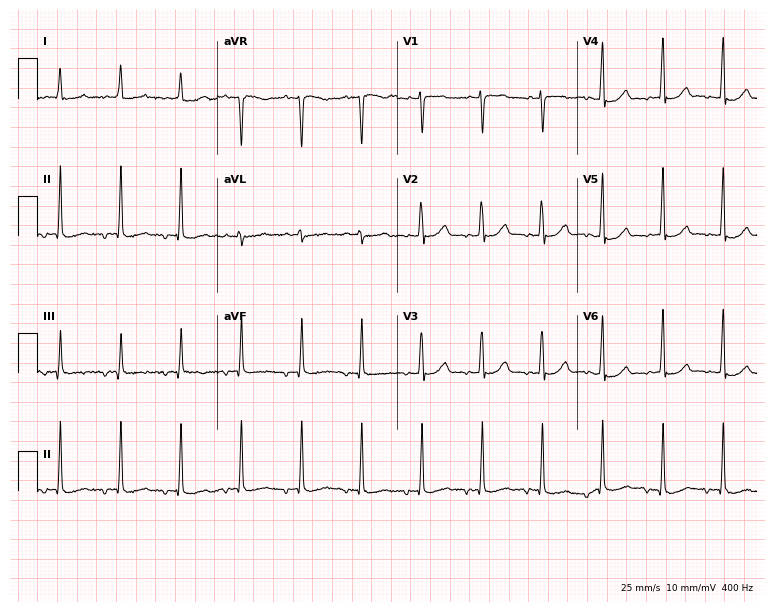
Electrocardiogram, a woman, 63 years old. Of the six screened findings (first-degree AV block, right bundle branch block, left bundle branch block, sinus bradycardia, atrial fibrillation, sinus tachycardia), none is recorded.